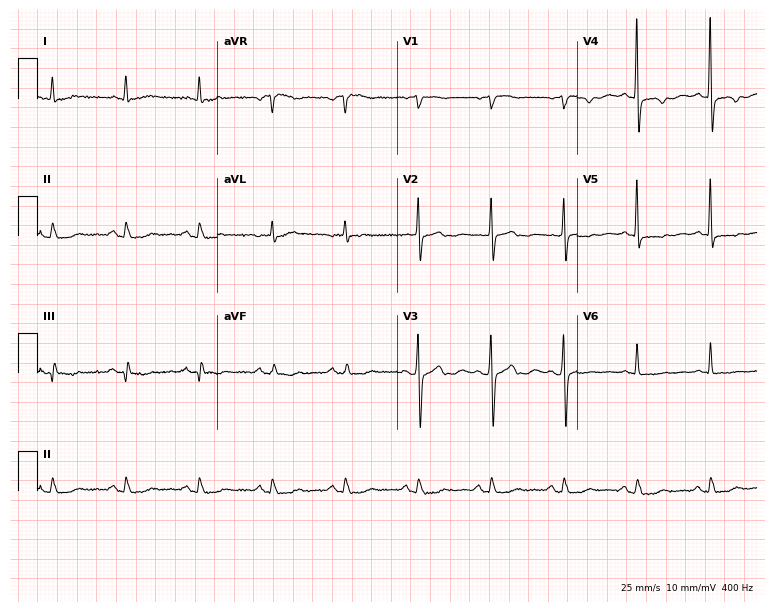
Standard 12-lead ECG recorded from an 84-year-old woman (7.3-second recording at 400 Hz). None of these six findings is recorded: first-degree AV block, right bundle branch block, left bundle branch block, sinus bradycardia, atrial fibrillation, sinus tachycardia. Only these six findings were labelled.